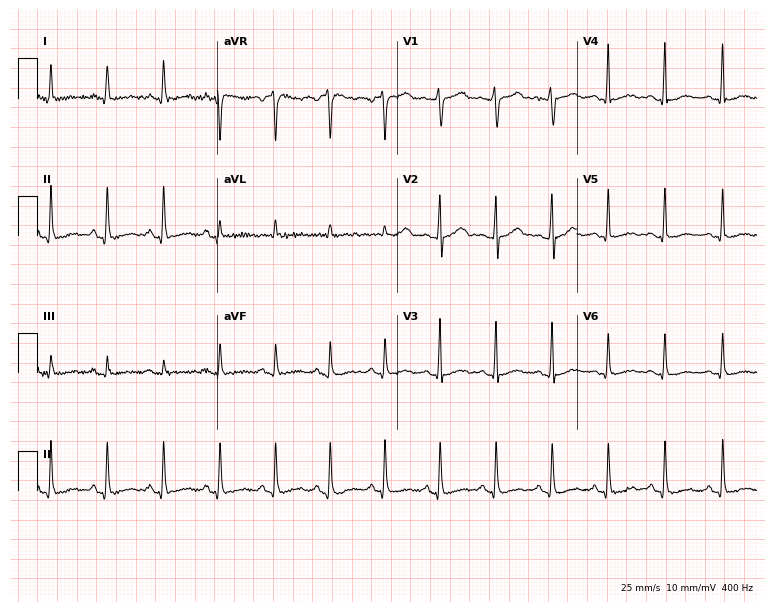
Resting 12-lead electrocardiogram. Patient: a 35-year-old female. The tracing shows sinus tachycardia (a sinus rate of 100 beats per minute or more).